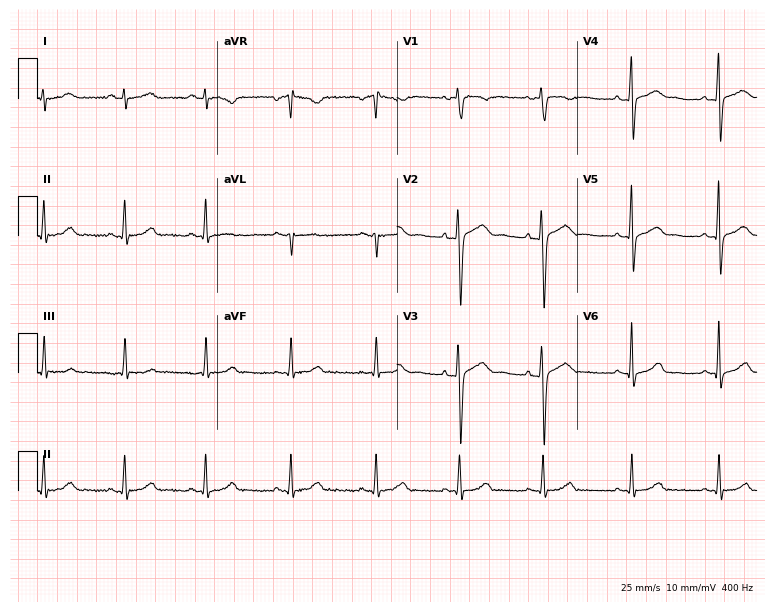
Resting 12-lead electrocardiogram. Patient: a 33-year-old woman. None of these six findings is recorded: first-degree AV block, right bundle branch block (RBBB), left bundle branch block (LBBB), sinus bradycardia, atrial fibrillation (AF), sinus tachycardia.